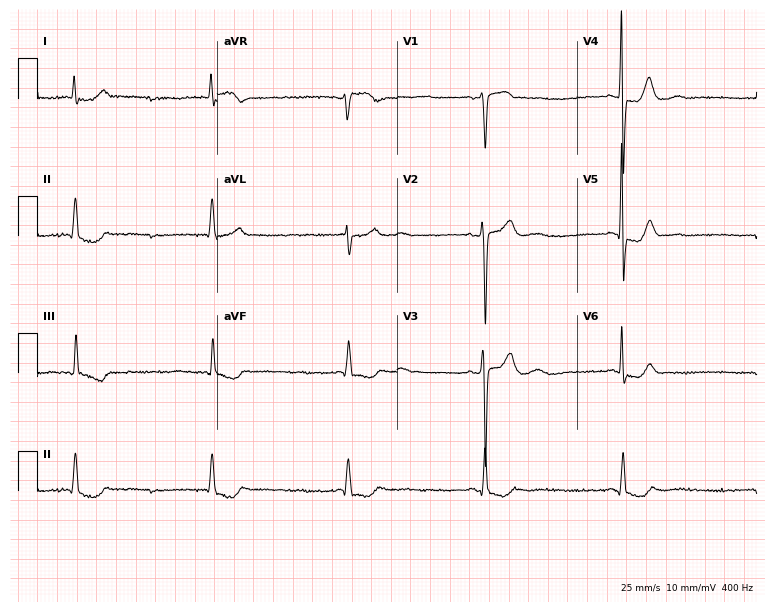
ECG — a 72-year-old female patient. Screened for six findings — first-degree AV block, right bundle branch block (RBBB), left bundle branch block (LBBB), sinus bradycardia, atrial fibrillation (AF), sinus tachycardia — none is recorded.